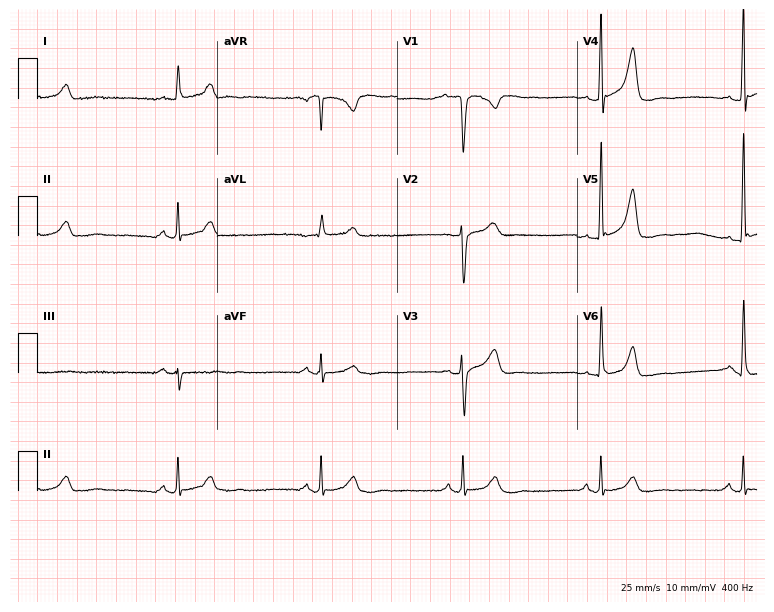
Resting 12-lead electrocardiogram (7.3-second recording at 400 Hz). Patient: a male, 58 years old. The tracing shows sinus bradycardia (a sinus rate of 50 beats per minute or less).